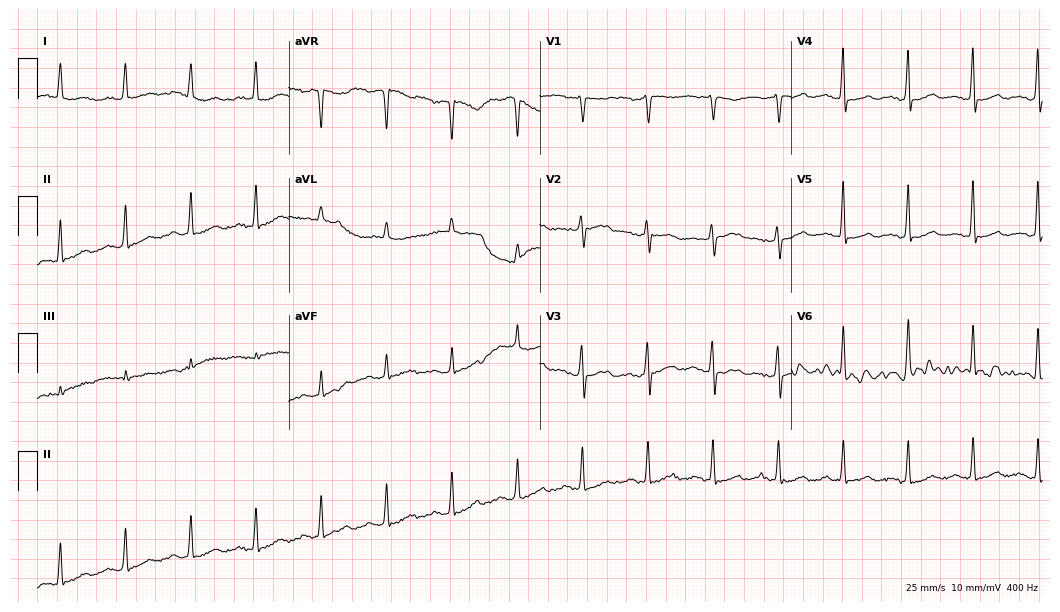
Resting 12-lead electrocardiogram (10.2-second recording at 400 Hz). Patient: a 68-year-old woman. None of these six findings is recorded: first-degree AV block, right bundle branch block, left bundle branch block, sinus bradycardia, atrial fibrillation, sinus tachycardia.